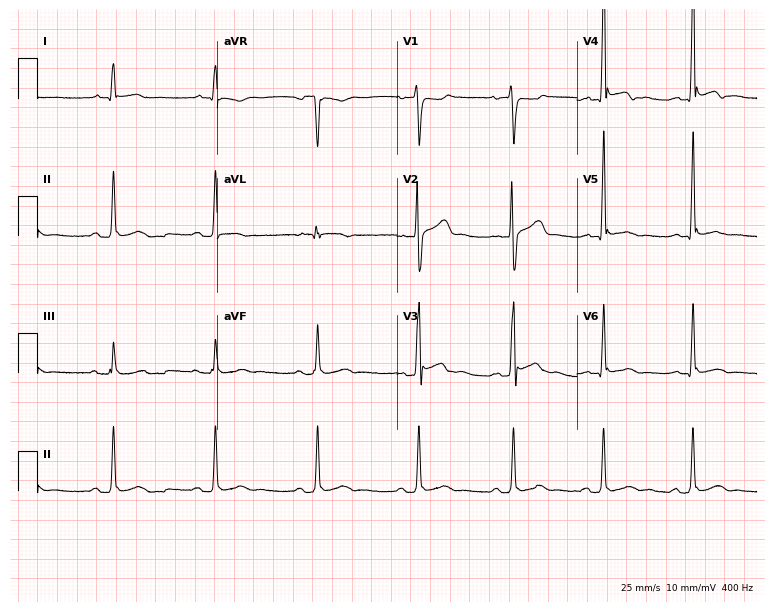
ECG — a male, 33 years old. Screened for six findings — first-degree AV block, right bundle branch block (RBBB), left bundle branch block (LBBB), sinus bradycardia, atrial fibrillation (AF), sinus tachycardia — none is recorded.